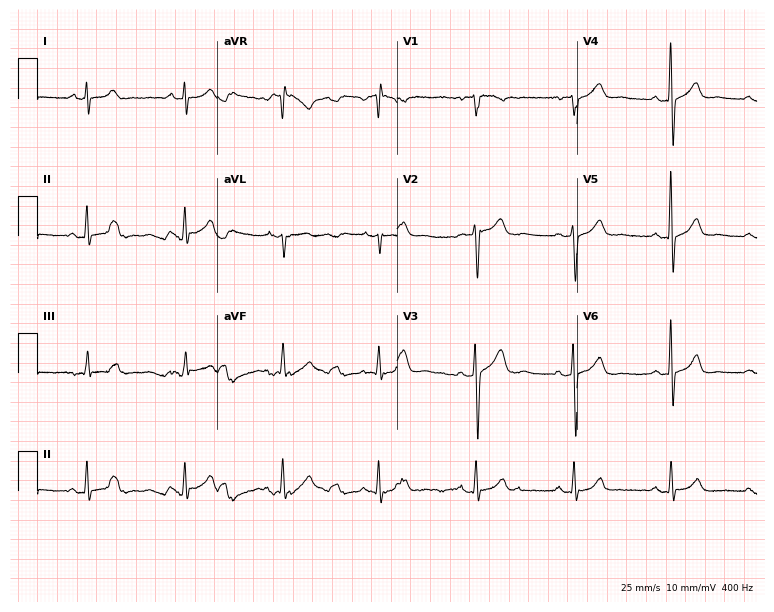
12-lead ECG from a 47-year-old male patient. Recorded interpretation: within normal limits.